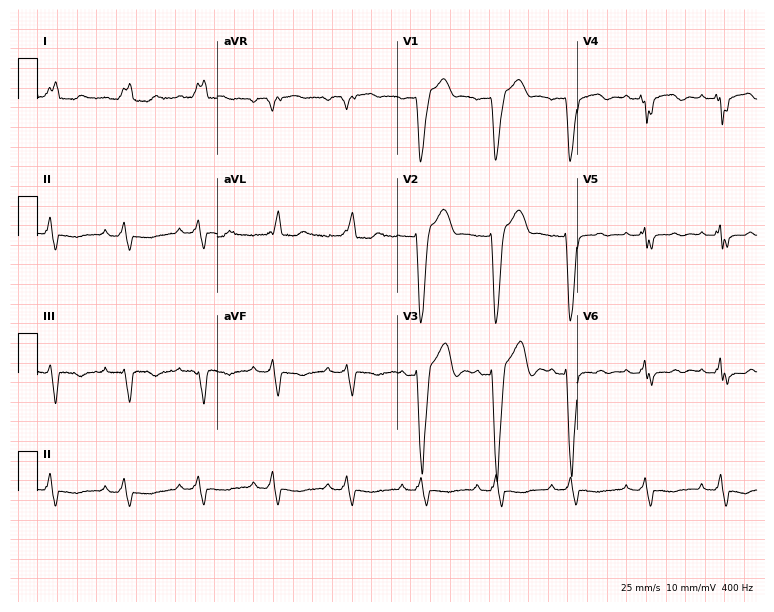
12-lead ECG from an 84-year-old male. Findings include left bundle branch block (LBBB).